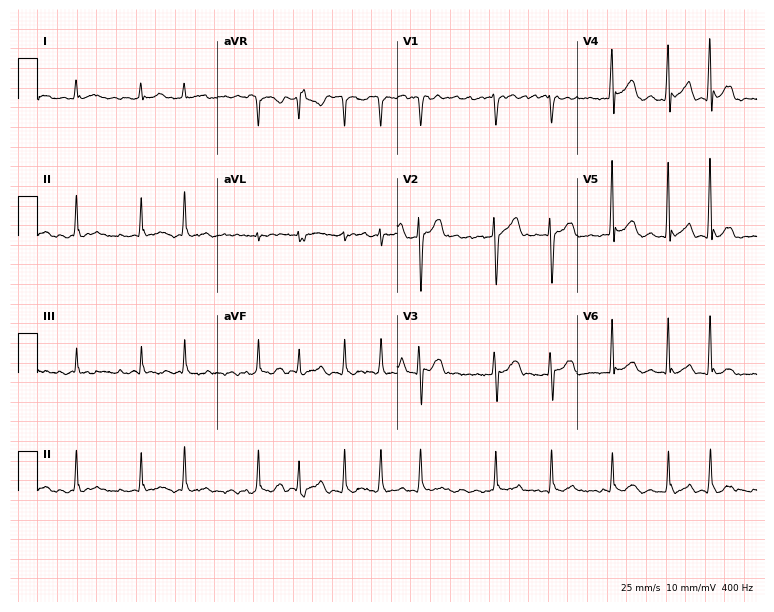
12-lead ECG from a male, 64 years old. Findings include atrial fibrillation.